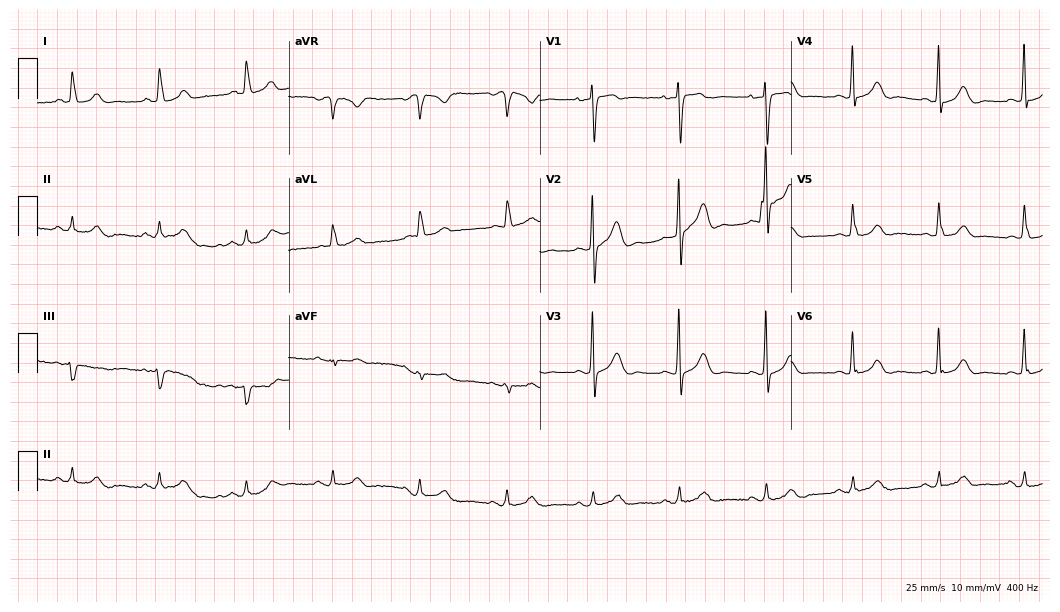
ECG (10.2-second recording at 400 Hz) — a male patient, 76 years old. Labelled as a normal ECG.